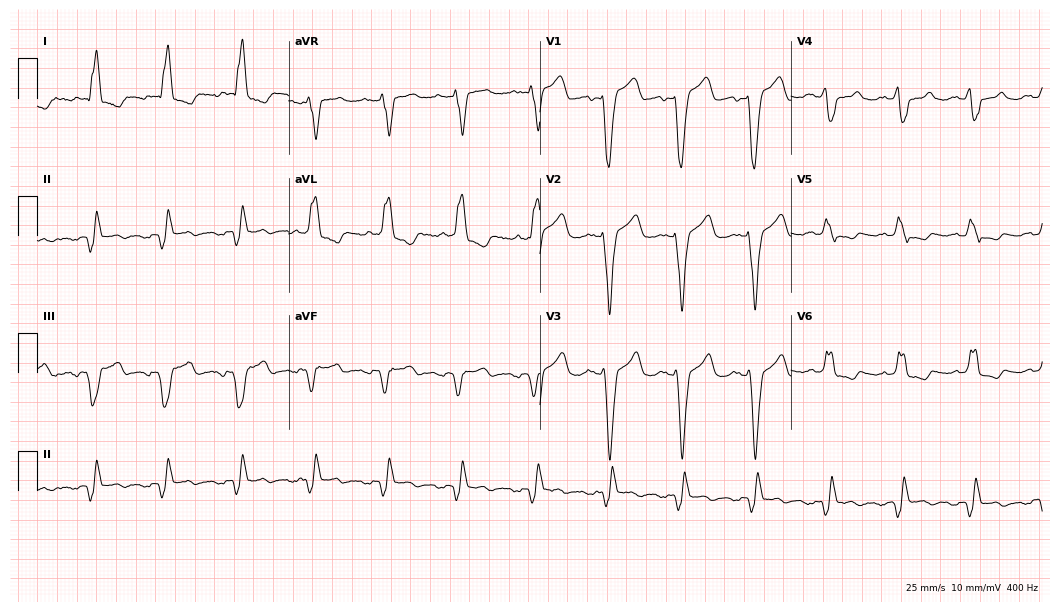
Resting 12-lead electrocardiogram (10.2-second recording at 400 Hz). Patient: a female, 67 years old. None of these six findings is recorded: first-degree AV block, right bundle branch block, left bundle branch block, sinus bradycardia, atrial fibrillation, sinus tachycardia. Only these six findings were labelled.